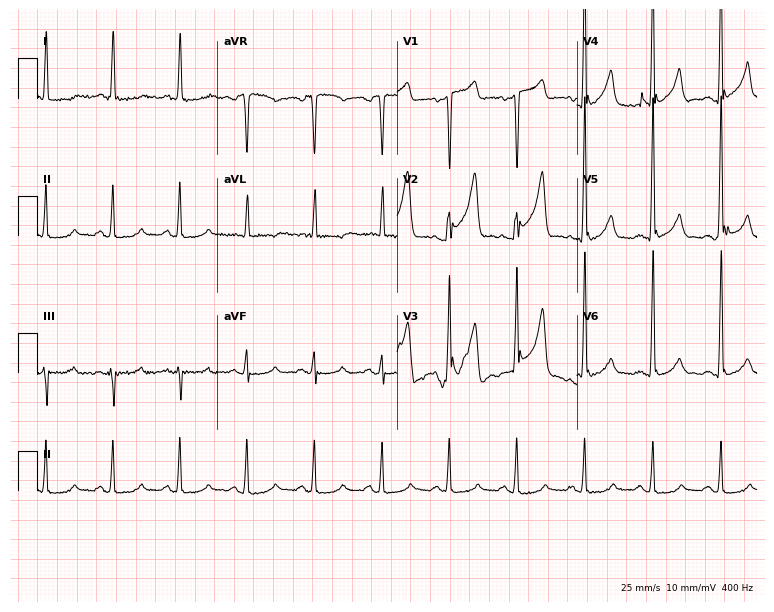
12-lead ECG from a 70-year-old male patient (7.3-second recording at 400 Hz). No first-degree AV block, right bundle branch block (RBBB), left bundle branch block (LBBB), sinus bradycardia, atrial fibrillation (AF) or sinus tachycardia recorded for this tracing. Other findings, if any, are not listed.